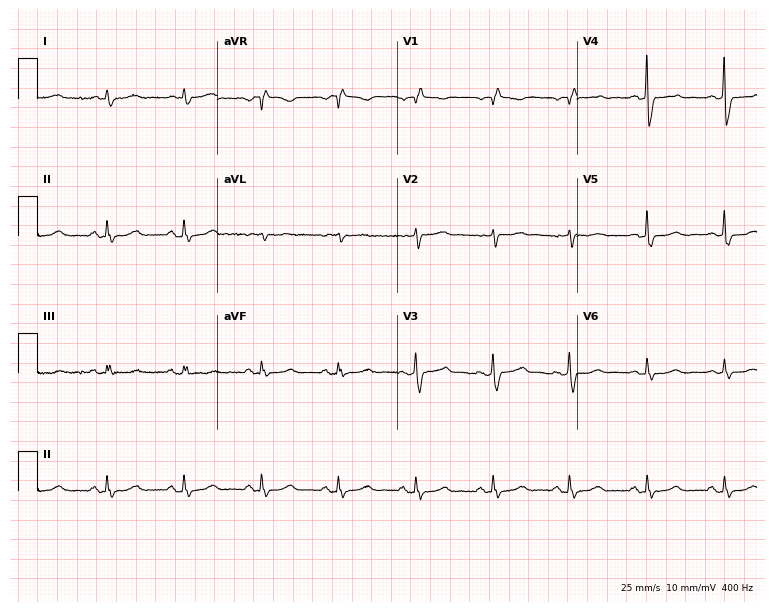
ECG (7.3-second recording at 400 Hz) — an 82-year-old male patient. Screened for six findings — first-degree AV block, right bundle branch block, left bundle branch block, sinus bradycardia, atrial fibrillation, sinus tachycardia — none is recorded.